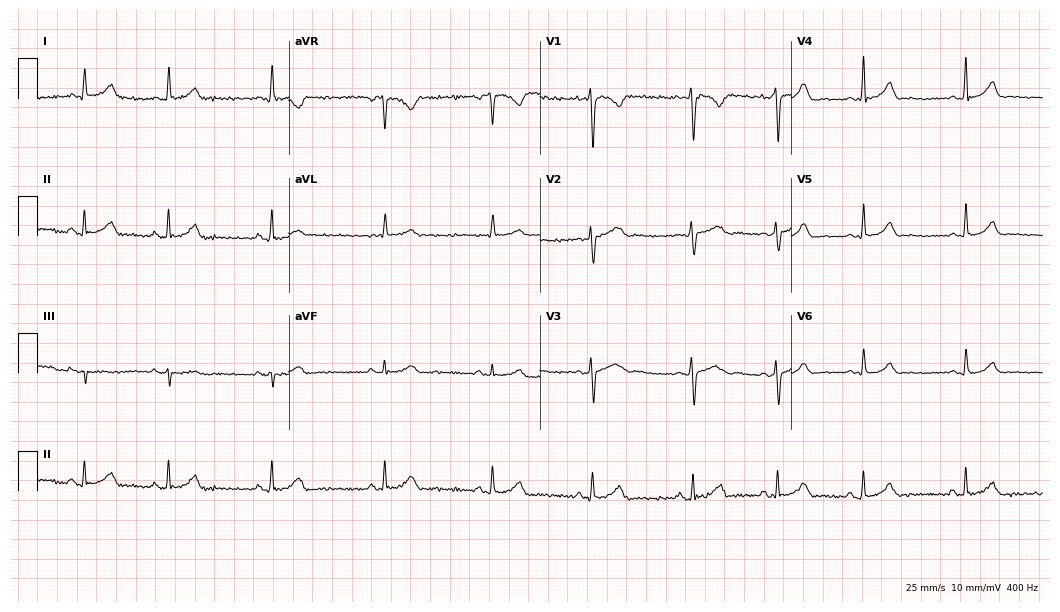
Resting 12-lead electrocardiogram (10.2-second recording at 400 Hz). Patient: a 19-year-old woman. None of these six findings is recorded: first-degree AV block, right bundle branch block (RBBB), left bundle branch block (LBBB), sinus bradycardia, atrial fibrillation (AF), sinus tachycardia. Findings outside these six are not listed.